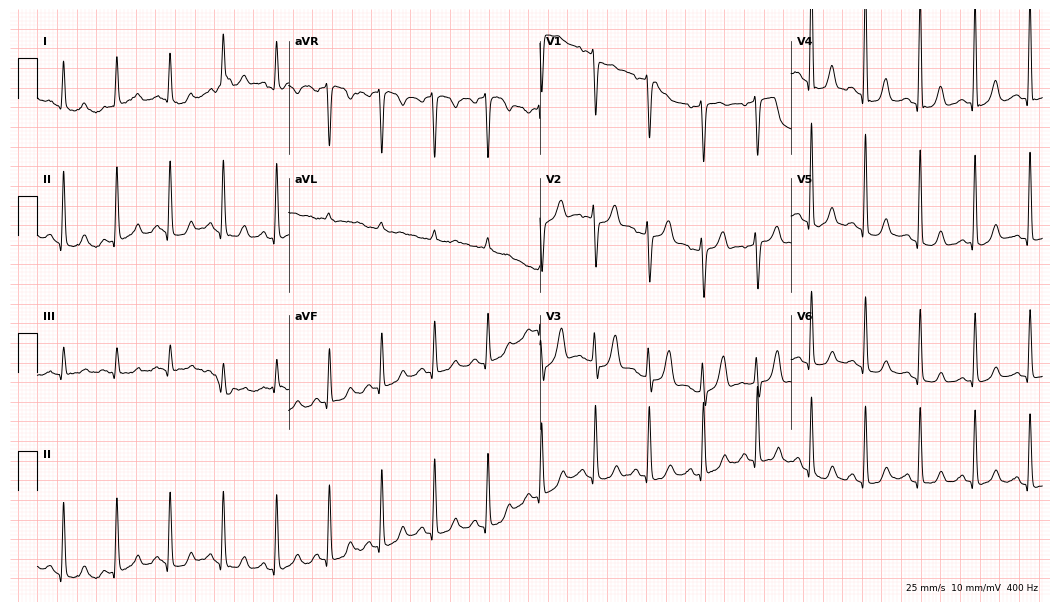
Standard 12-lead ECG recorded from a woman, 85 years old (10.2-second recording at 400 Hz). None of these six findings is recorded: first-degree AV block, right bundle branch block (RBBB), left bundle branch block (LBBB), sinus bradycardia, atrial fibrillation (AF), sinus tachycardia.